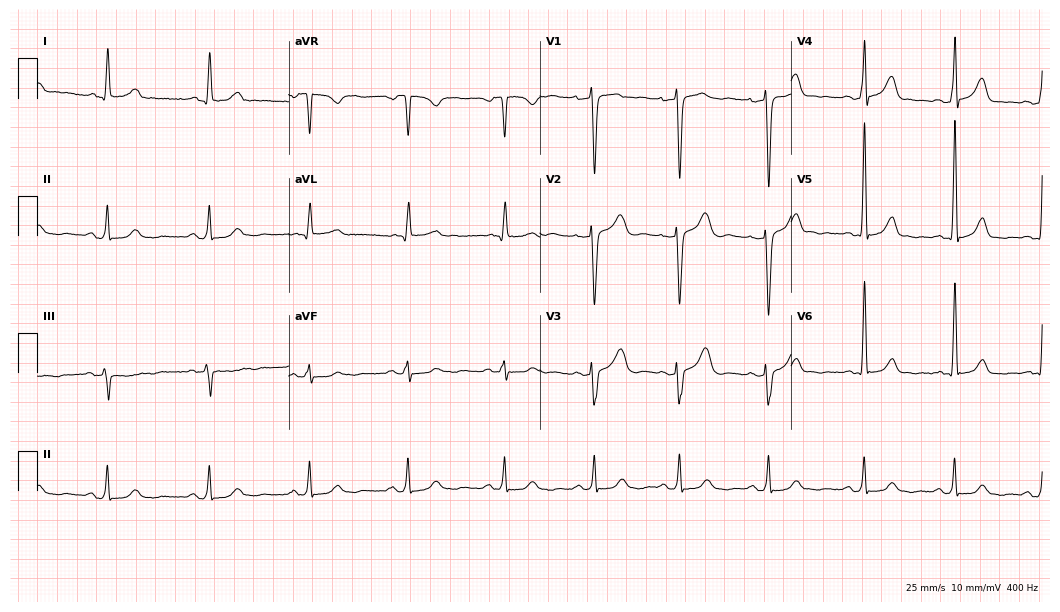
12-lead ECG (10.2-second recording at 400 Hz) from a female patient, 62 years old. Labelled as a normal ECG.